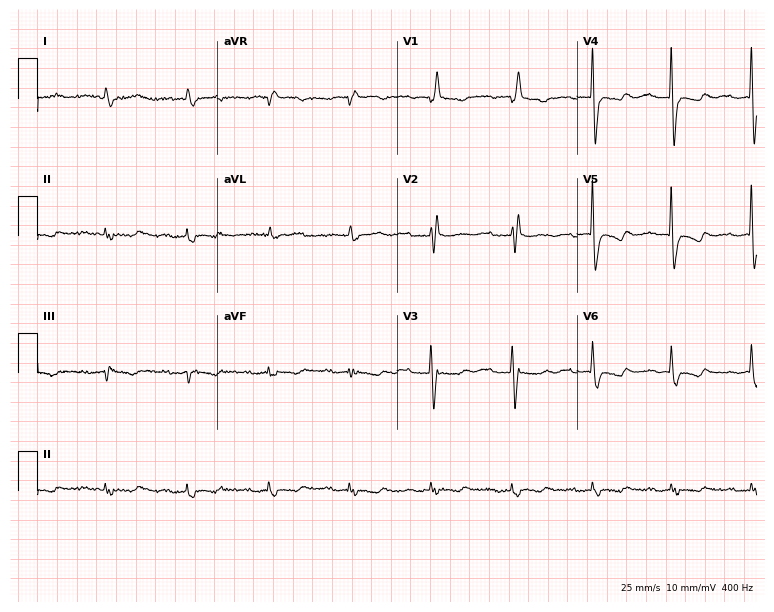
Resting 12-lead electrocardiogram. Patient: a woman, 65 years old. The tracing shows first-degree AV block.